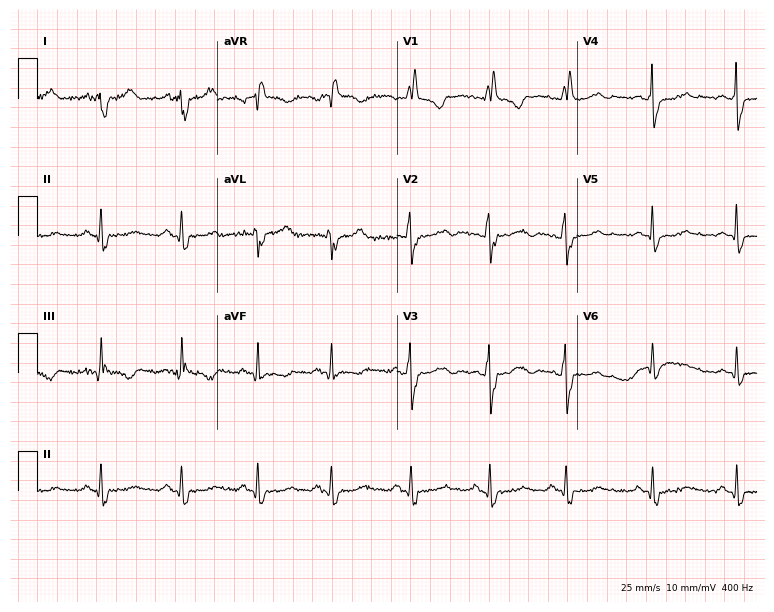
Electrocardiogram (7.3-second recording at 400 Hz), a woman, 33 years old. Interpretation includes right bundle branch block (RBBB).